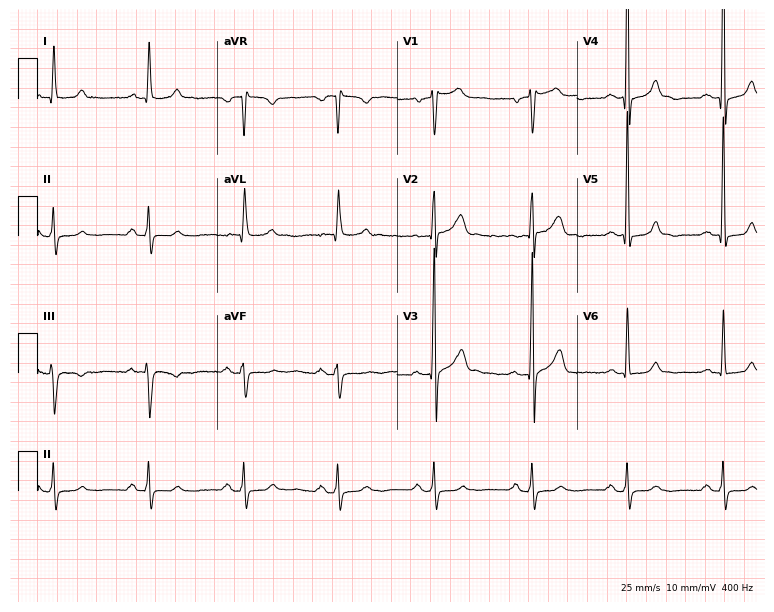
12-lead ECG (7.3-second recording at 400 Hz) from a male patient, 53 years old. Screened for six findings — first-degree AV block, right bundle branch block, left bundle branch block, sinus bradycardia, atrial fibrillation, sinus tachycardia — none is recorded. Findings outside these six are not listed.